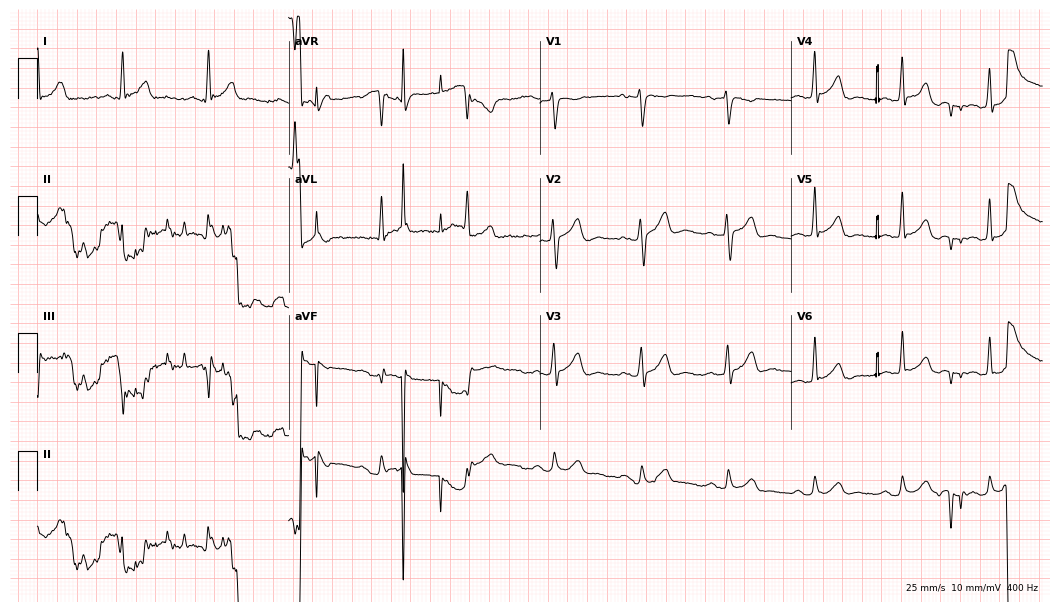
ECG (10.2-second recording at 400 Hz) — a man, 49 years old. Screened for six findings — first-degree AV block, right bundle branch block (RBBB), left bundle branch block (LBBB), sinus bradycardia, atrial fibrillation (AF), sinus tachycardia — none is recorded. Other findings, if any, are not listed.